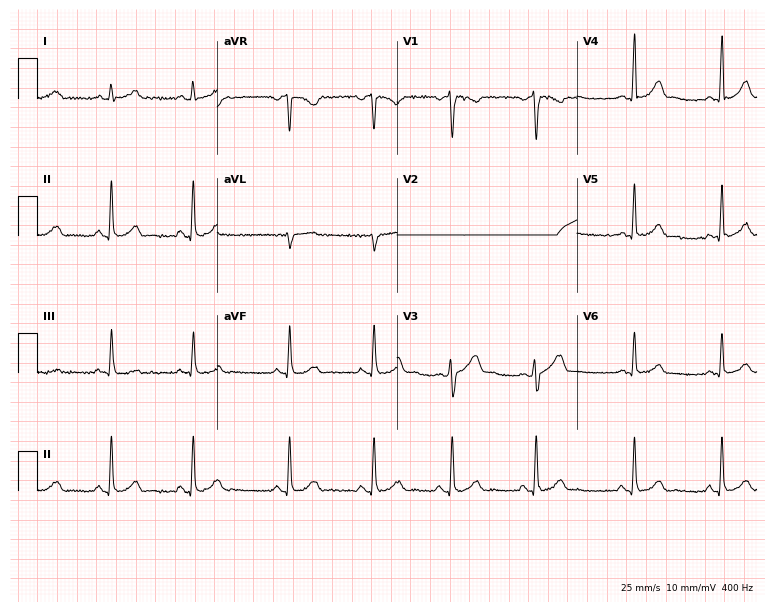
12-lead ECG from a female patient, 20 years old (7.3-second recording at 400 Hz). No first-degree AV block, right bundle branch block, left bundle branch block, sinus bradycardia, atrial fibrillation or sinus tachycardia recorded for this tracing.